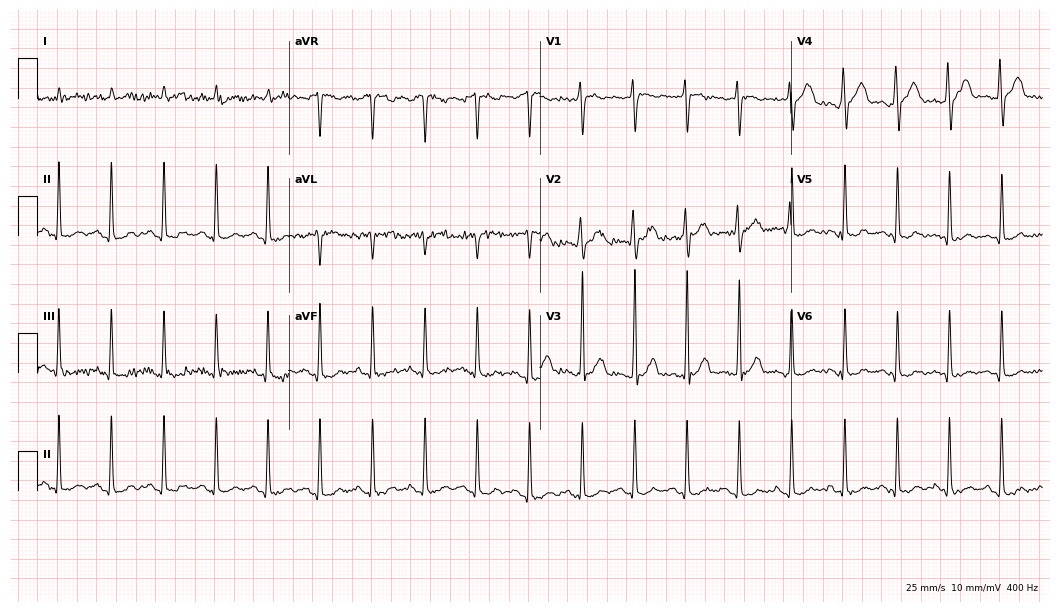
12-lead ECG from a 23-year-old female patient. Shows sinus tachycardia (a sinus rate of 100 beats per minute or more).